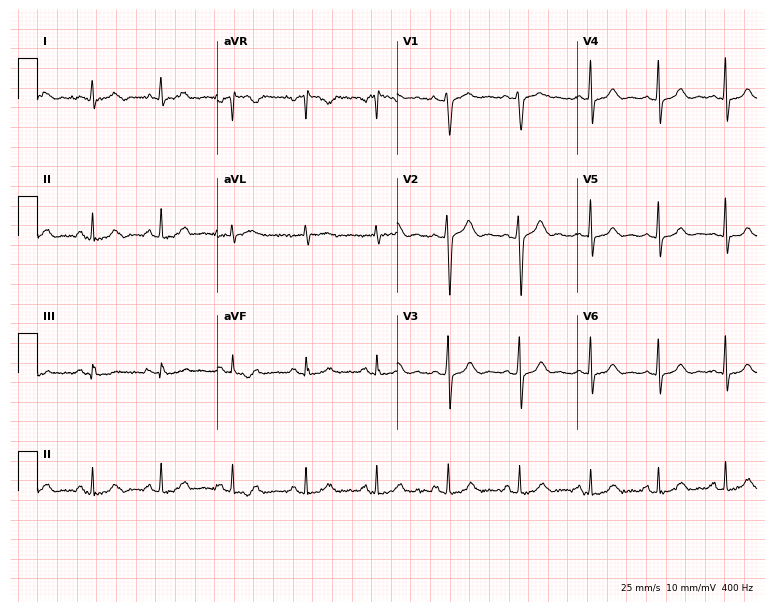
ECG (7.3-second recording at 400 Hz) — a female, 44 years old. Labelled as a normal ECG.